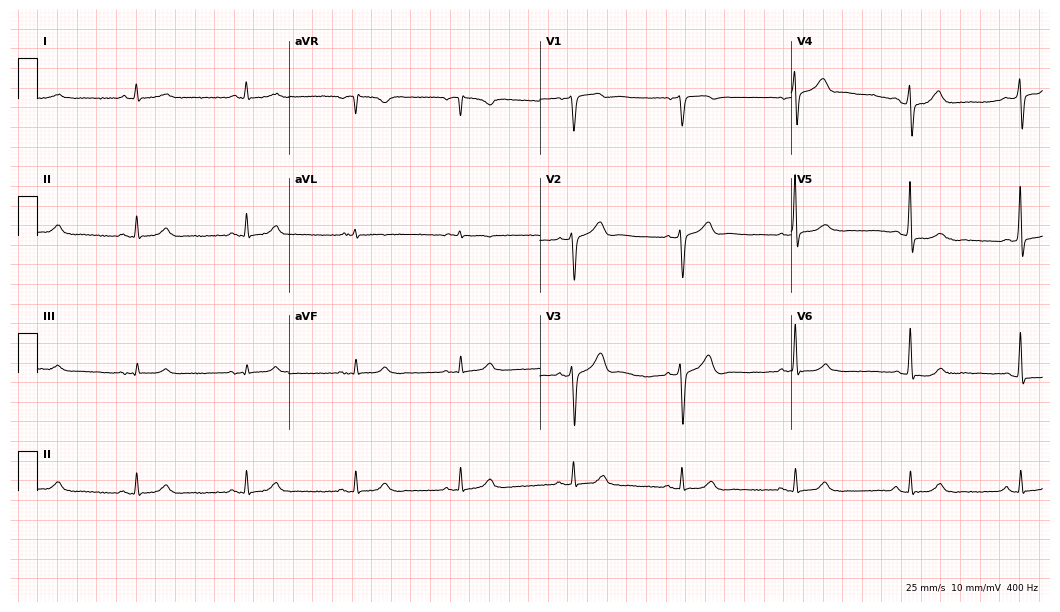
12-lead ECG (10.2-second recording at 400 Hz) from a female patient, 77 years old. Labelled as a normal ECG.